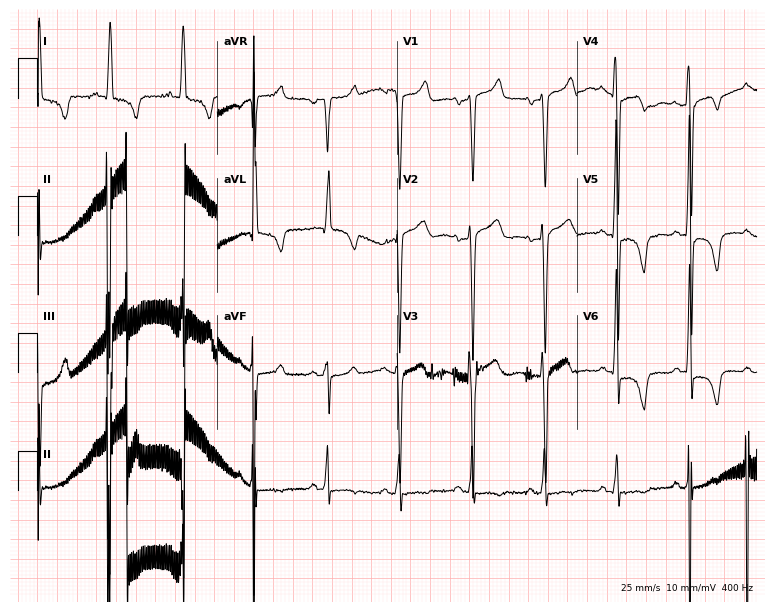
ECG (7.3-second recording at 400 Hz) — a female, 87 years old. Screened for six findings — first-degree AV block, right bundle branch block, left bundle branch block, sinus bradycardia, atrial fibrillation, sinus tachycardia — none is recorded. Only these six findings were labelled.